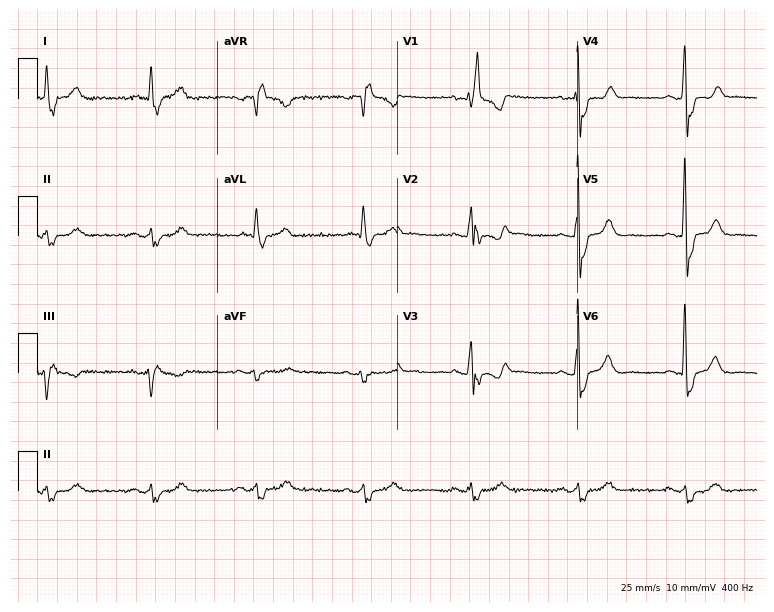
Electrocardiogram (7.3-second recording at 400 Hz), a male patient, 61 years old. Interpretation includes right bundle branch block.